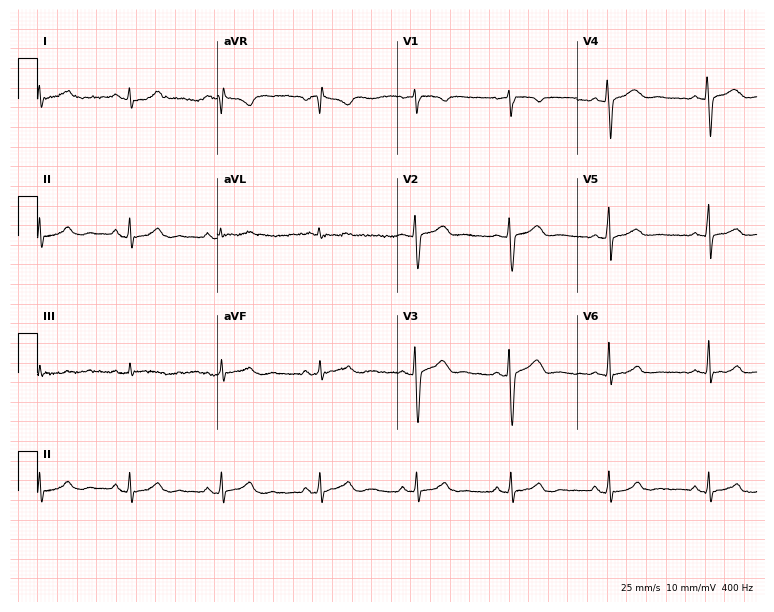
Electrocardiogram (7.3-second recording at 400 Hz), a woman, 31 years old. Overall reading on record: normal ECG.